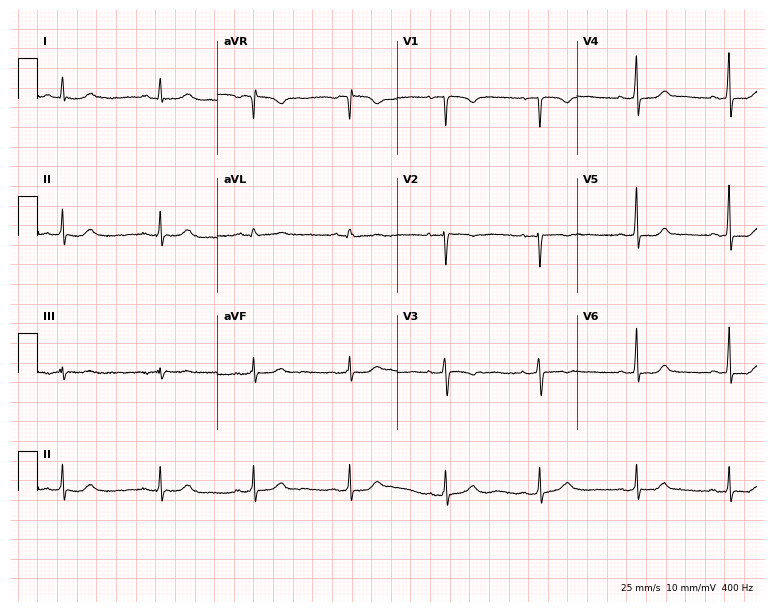
ECG (7.3-second recording at 400 Hz) — a 37-year-old female. Screened for six findings — first-degree AV block, right bundle branch block (RBBB), left bundle branch block (LBBB), sinus bradycardia, atrial fibrillation (AF), sinus tachycardia — none is recorded.